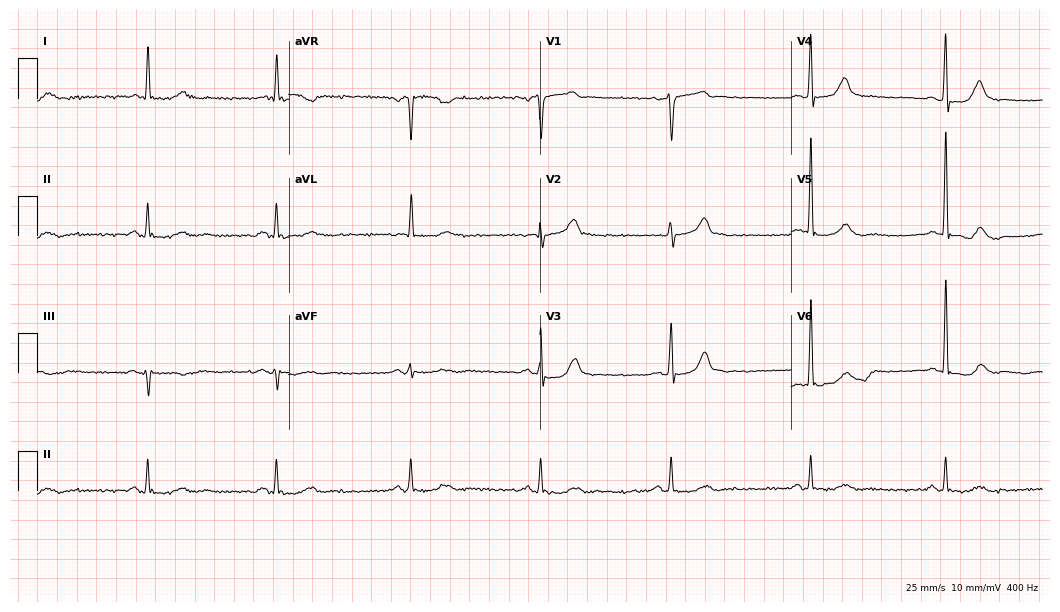
Electrocardiogram (10.2-second recording at 400 Hz), a male, 75 years old. Of the six screened findings (first-degree AV block, right bundle branch block, left bundle branch block, sinus bradycardia, atrial fibrillation, sinus tachycardia), none is recorded. Findings outside these six are not listed.